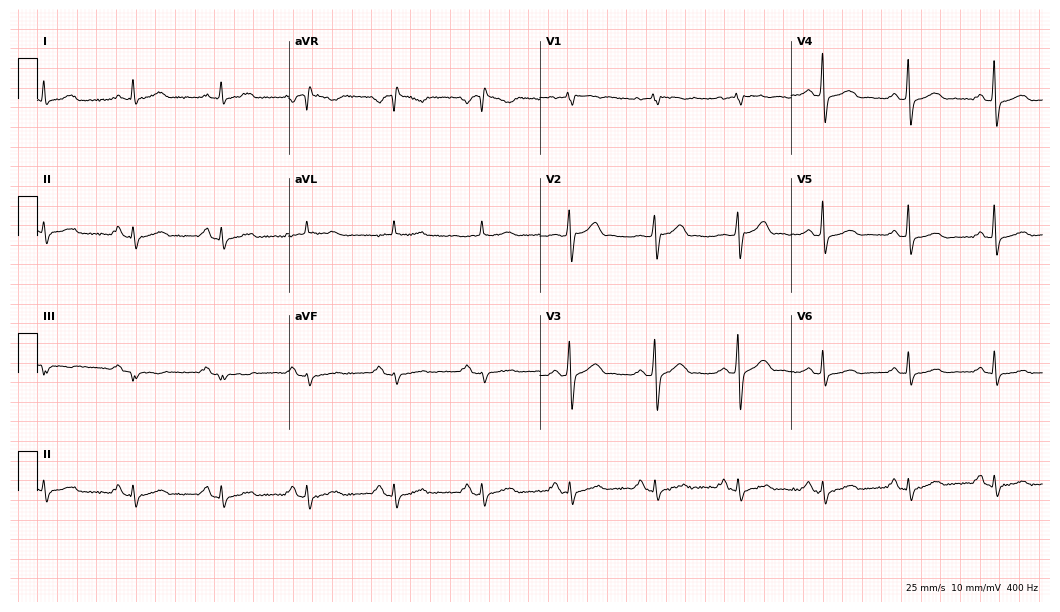
12-lead ECG from a male, 61 years old. Recorded interpretation: within normal limits.